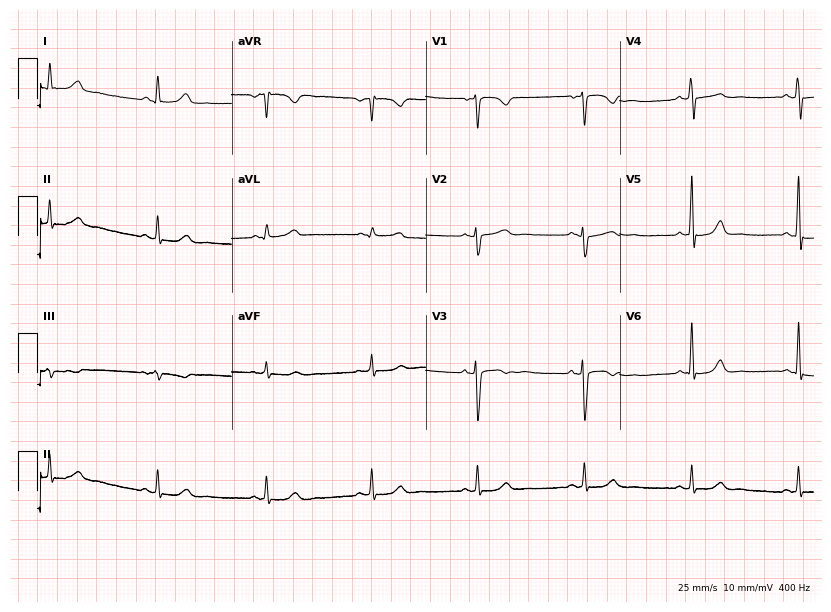
Standard 12-lead ECG recorded from a 47-year-old woman (7.9-second recording at 400 Hz). Read as a normal ECG.